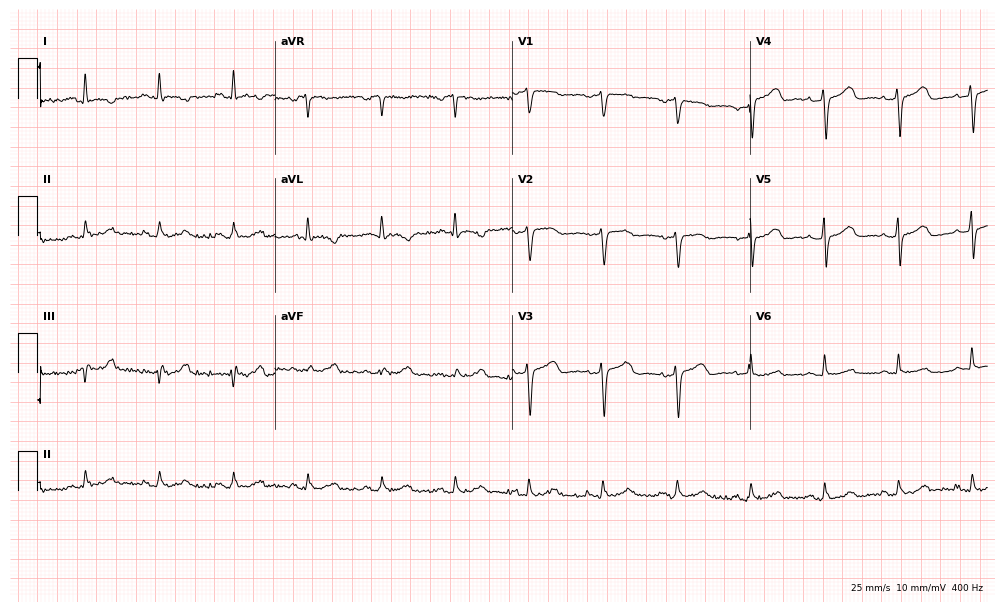
12-lead ECG from a 25-year-old man. Screened for six findings — first-degree AV block, right bundle branch block (RBBB), left bundle branch block (LBBB), sinus bradycardia, atrial fibrillation (AF), sinus tachycardia — none is recorded.